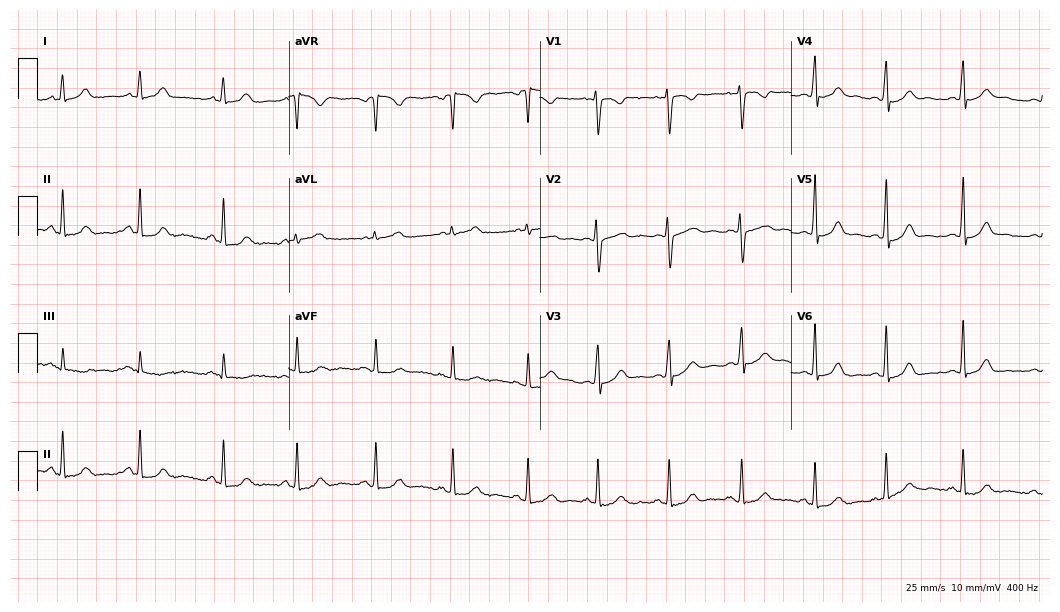
Standard 12-lead ECG recorded from a female, 21 years old (10.2-second recording at 400 Hz). Read as a normal ECG.